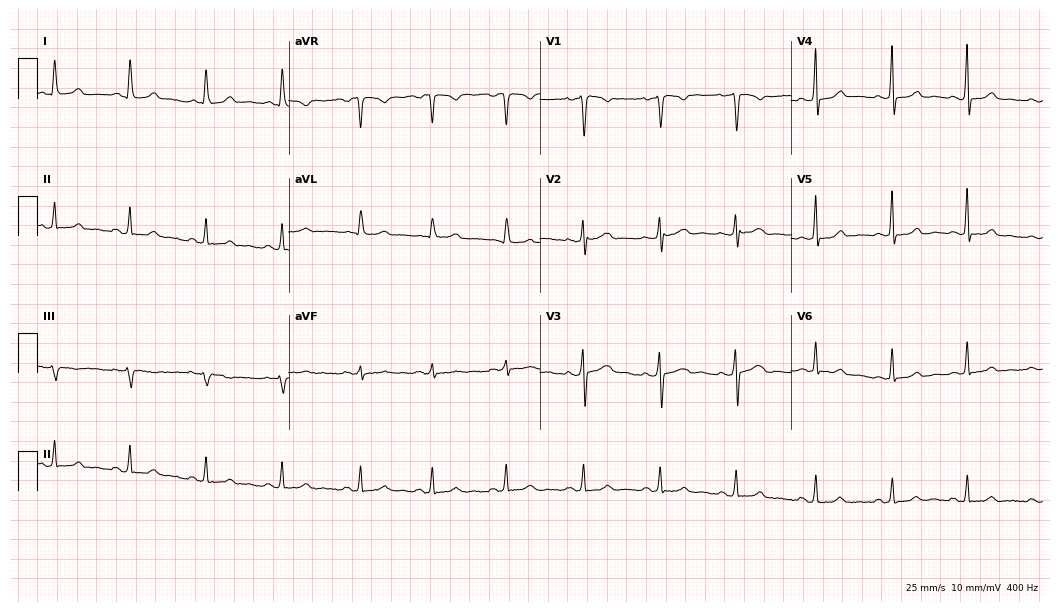
Standard 12-lead ECG recorded from a 32-year-old woman. Read as a normal ECG.